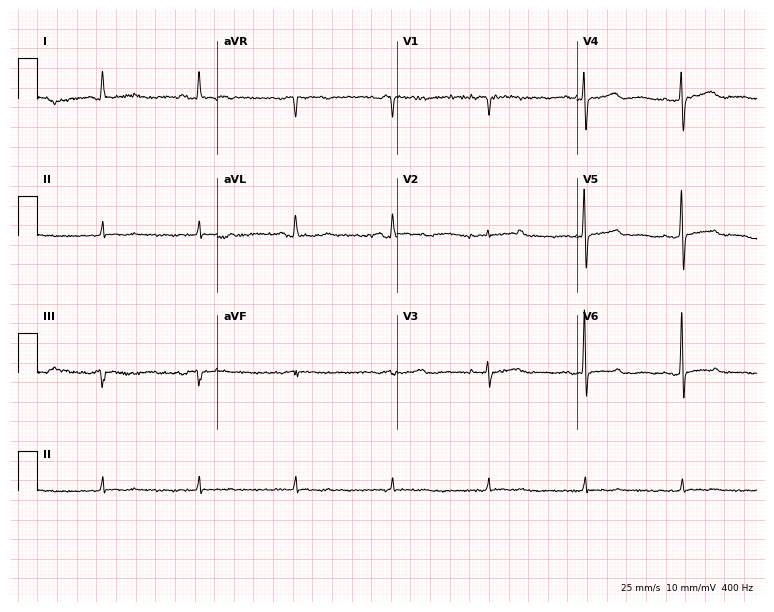
12-lead ECG from a 58-year-old female patient (7.3-second recording at 400 Hz). No first-degree AV block, right bundle branch block, left bundle branch block, sinus bradycardia, atrial fibrillation or sinus tachycardia recorded for this tracing.